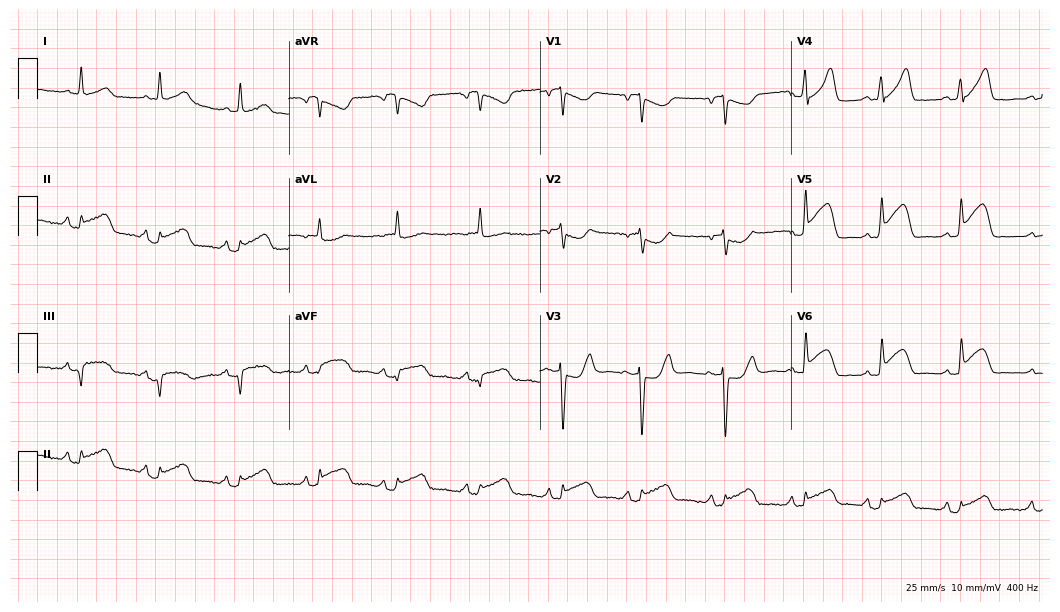
Electrocardiogram (10.2-second recording at 400 Hz), a female patient, 62 years old. Of the six screened findings (first-degree AV block, right bundle branch block (RBBB), left bundle branch block (LBBB), sinus bradycardia, atrial fibrillation (AF), sinus tachycardia), none is recorded. Findings outside these six are not listed.